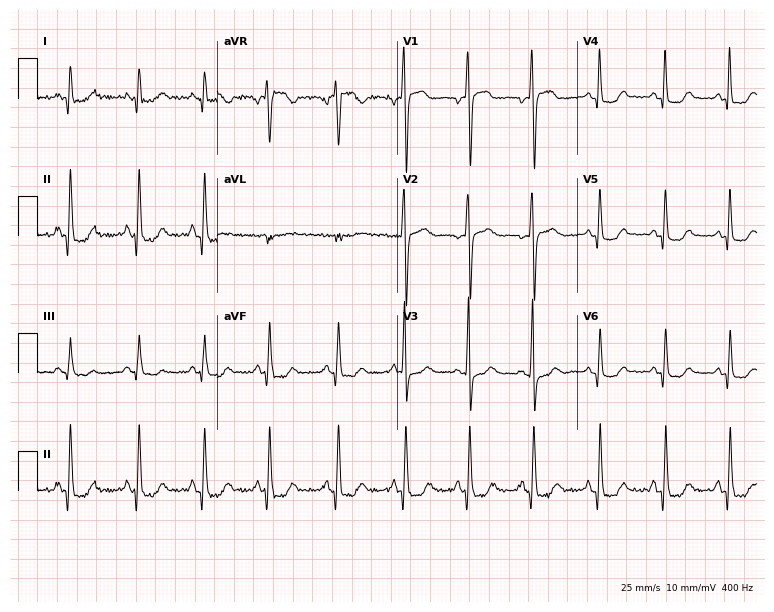
Electrocardiogram (7.3-second recording at 400 Hz), a 34-year-old female. Of the six screened findings (first-degree AV block, right bundle branch block, left bundle branch block, sinus bradycardia, atrial fibrillation, sinus tachycardia), none is recorded.